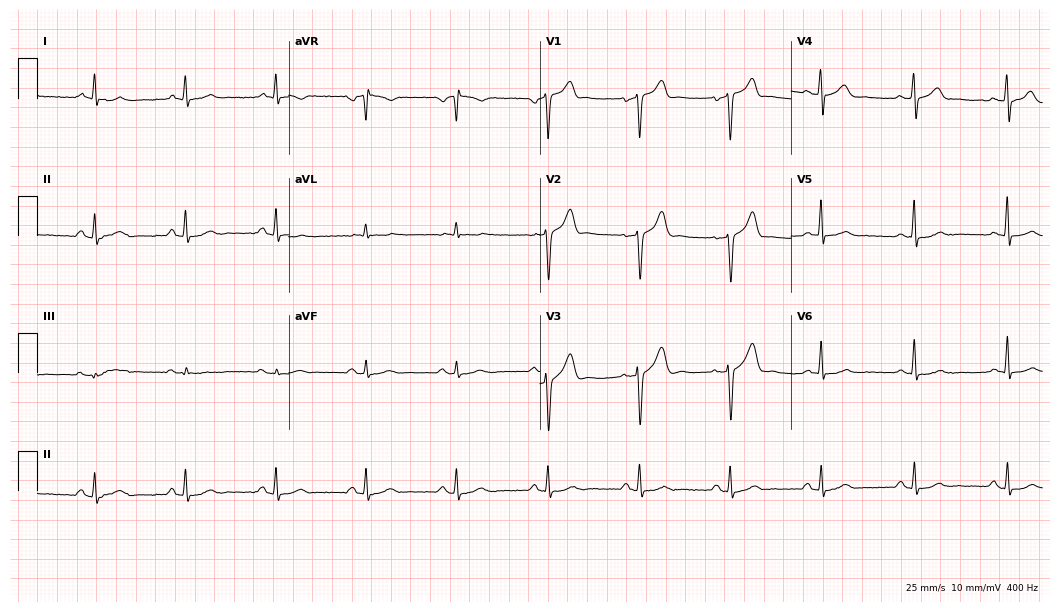
12-lead ECG from a male, 62 years old (10.2-second recording at 400 Hz). Recorded interpretation: within normal limits.